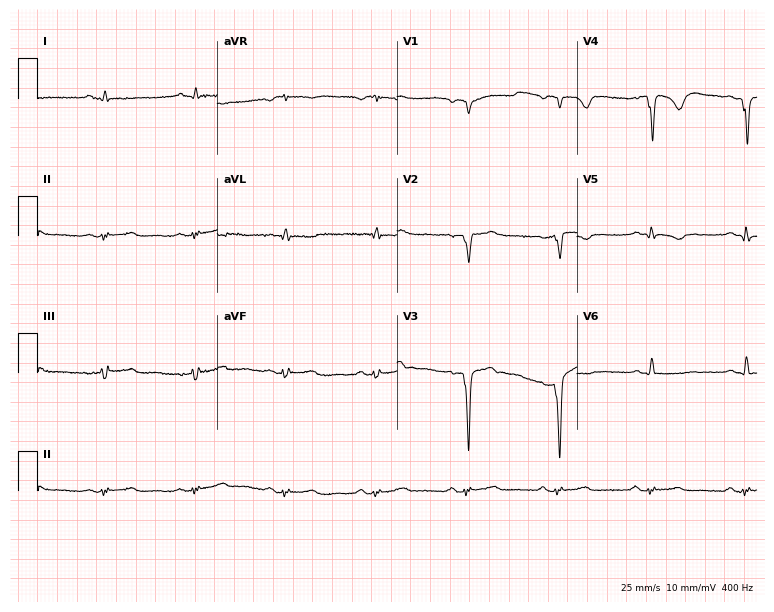
12-lead ECG from a man, 54 years old (7.3-second recording at 400 Hz). No first-degree AV block, right bundle branch block, left bundle branch block, sinus bradycardia, atrial fibrillation or sinus tachycardia recorded for this tracing. Only these six findings were labelled.